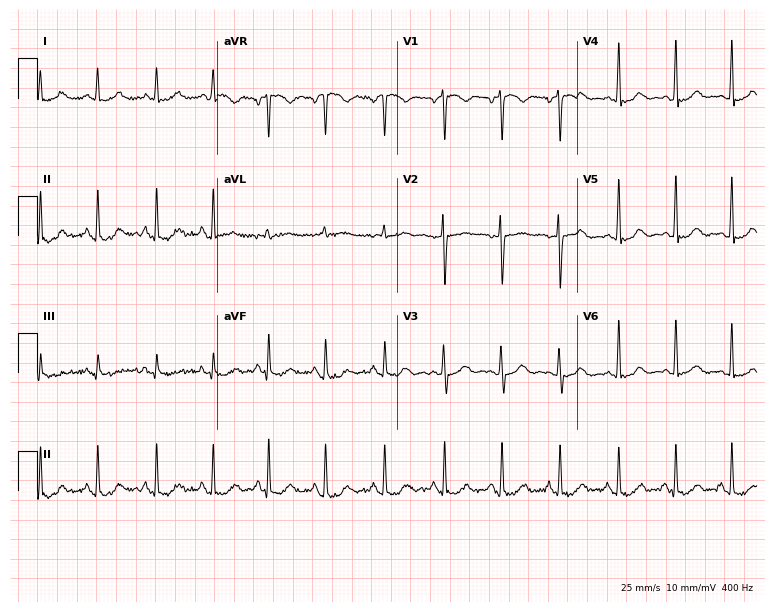
Electrocardiogram, a female patient, 25 years old. Interpretation includes sinus tachycardia (a sinus rate of 100 beats per minute or more).